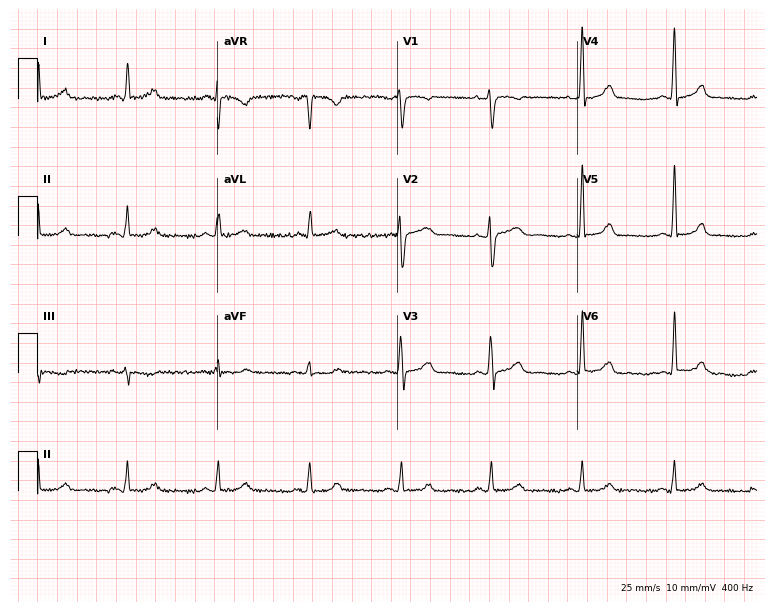
Electrocardiogram, a 46-year-old woman. Overall reading on record: normal ECG.